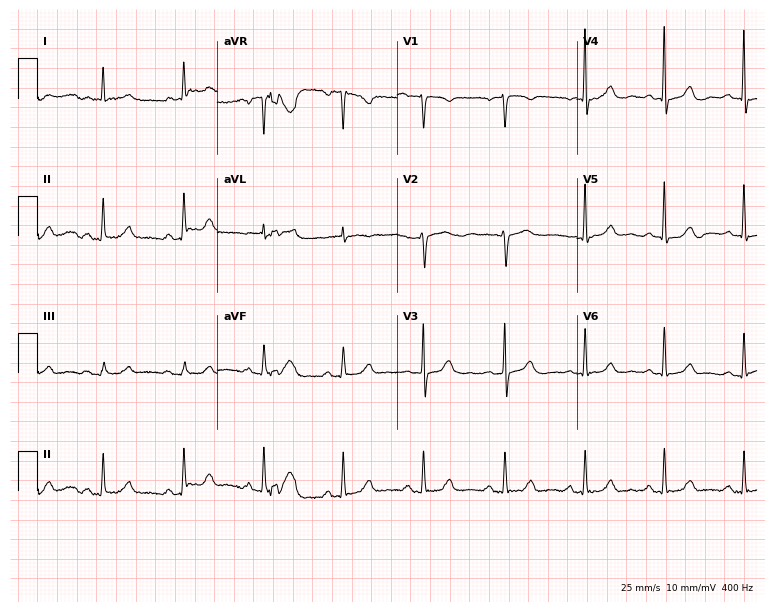
12-lead ECG from a 64-year-old woman. Screened for six findings — first-degree AV block, right bundle branch block, left bundle branch block, sinus bradycardia, atrial fibrillation, sinus tachycardia — none is recorded. Findings outside these six are not listed.